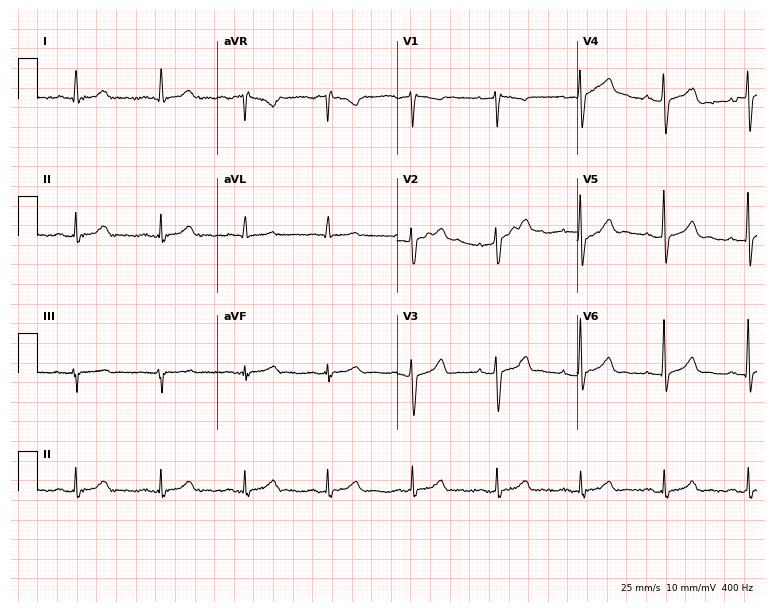
Electrocardiogram, a 71-year-old man. Of the six screened findings (first-degree AV block, right bundle branch block (RBBB), left bundle branch block (LBBB), sinus bradycardia, atrial fibrillation (AF), sinus tachycardia), none is recorded. Other findings, if any, are not listed.